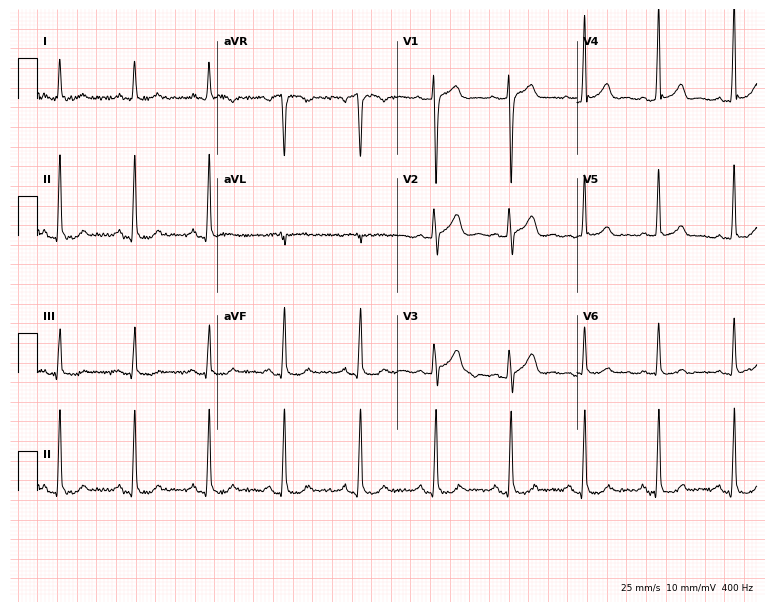
Standard 12-lead ECG recorded from a male patient, 49 years old (7.3-second recording at 400 Hz). None of these six findings is recorded: first-degree AV block, right bundle branch block, left bundle branch block, sinus bradycardia, atrial fibrillation, sinus tachycardia. Findings outside these six are not listed.